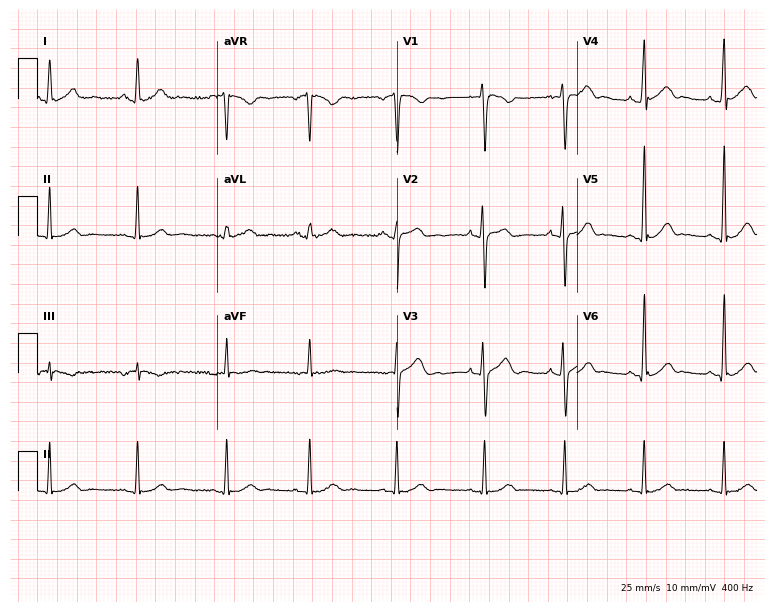
Resting 12-lead electrocardiogram. Patient: a man, 19 years old. Read as a normal ECG.